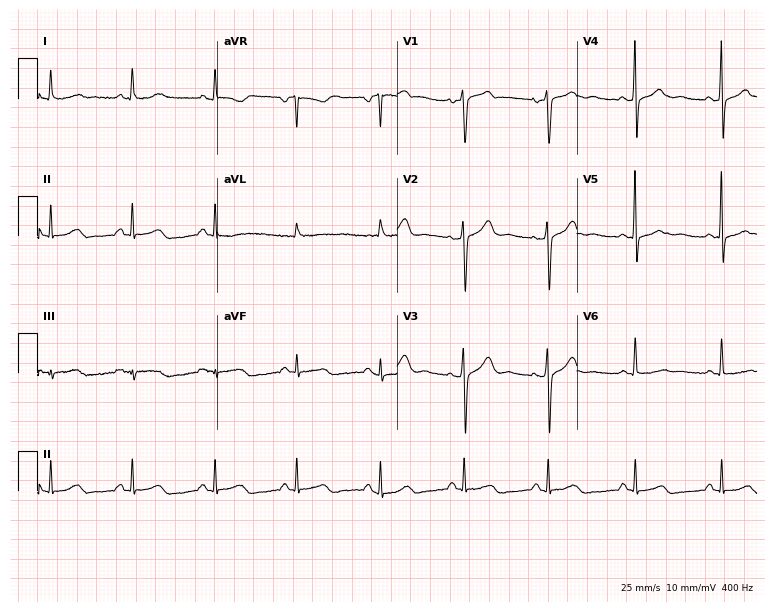
Resting 12-lead electrocardiogram. Patient: a woman, 53 years old. Read as a normal ECG.